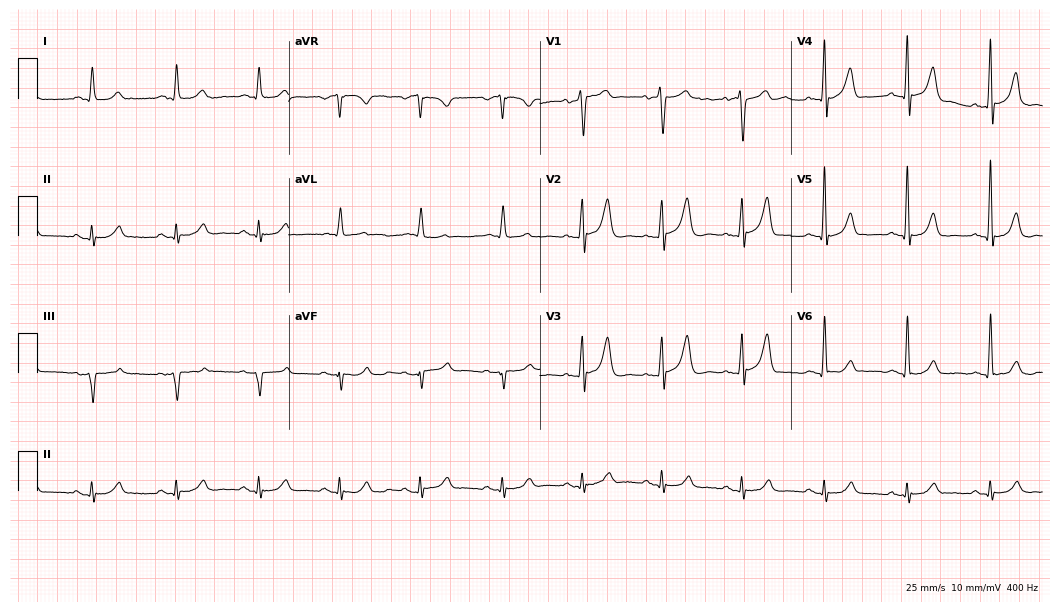
Standard 12-lead ECG recorded from a 69-year-old male. Read as a normal ECG.